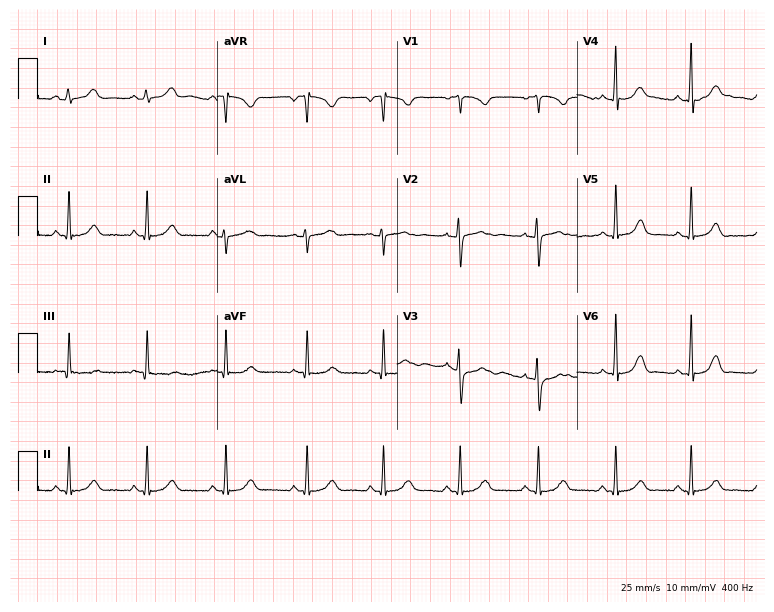
ECG (7.3-second recording at 400 Hz) — a female patient, 28 years old. Labelled as a normal ECG.